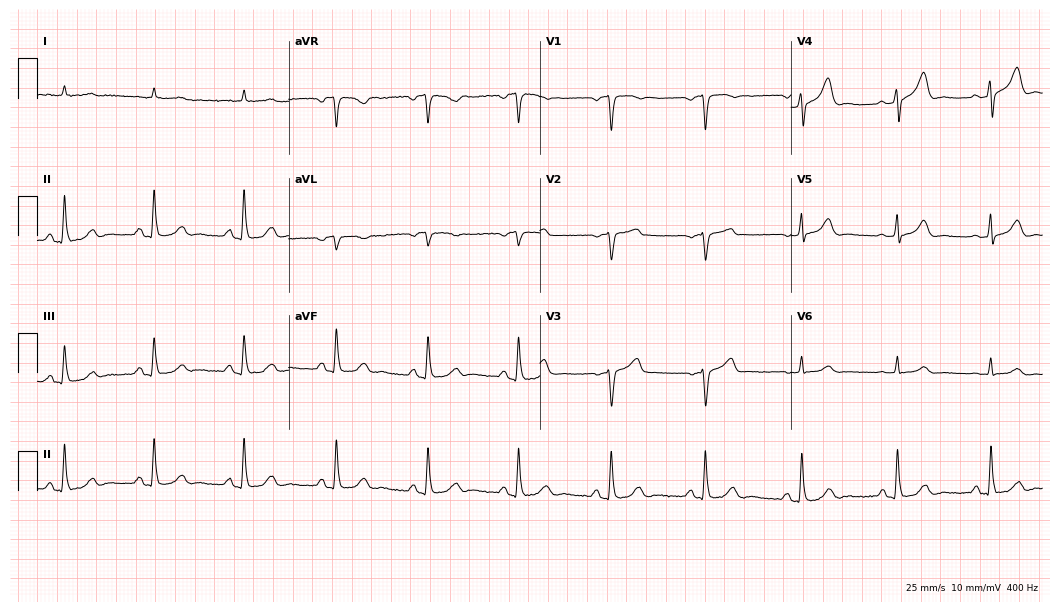
ECG — a 77-year-old man. Labelled as a normal ECG.